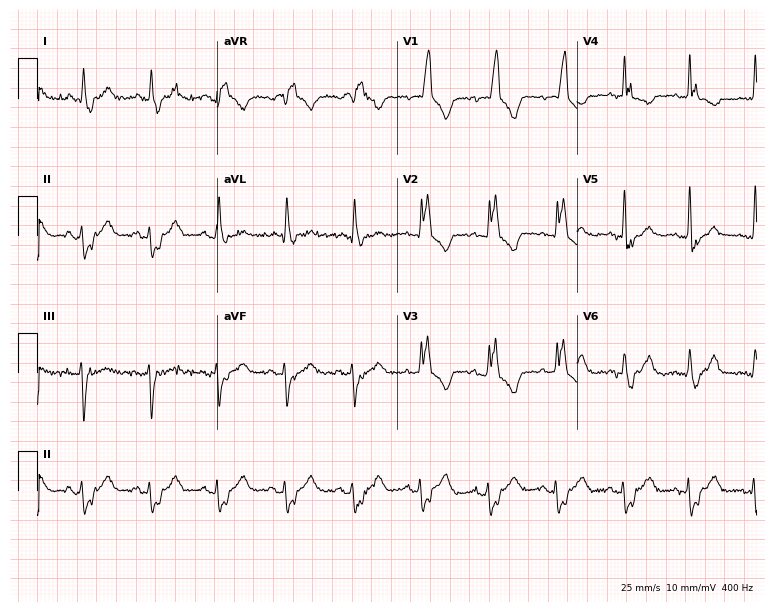
12-lead ECG from a woman, 60 years old. Shows right bundle branch block.